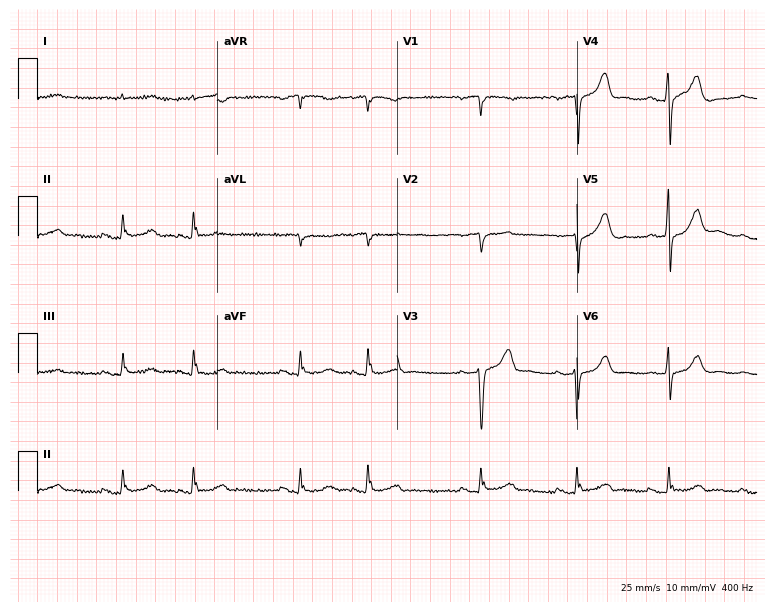
12-lead ECG from a man, 74 years old. No first-degree AV block, right bundle branch block, left bundle branch block, sinus bradycardia, atrial fibrillation or sinus tachycardia recorded for this tracing. Other findings, if any, are not listed.